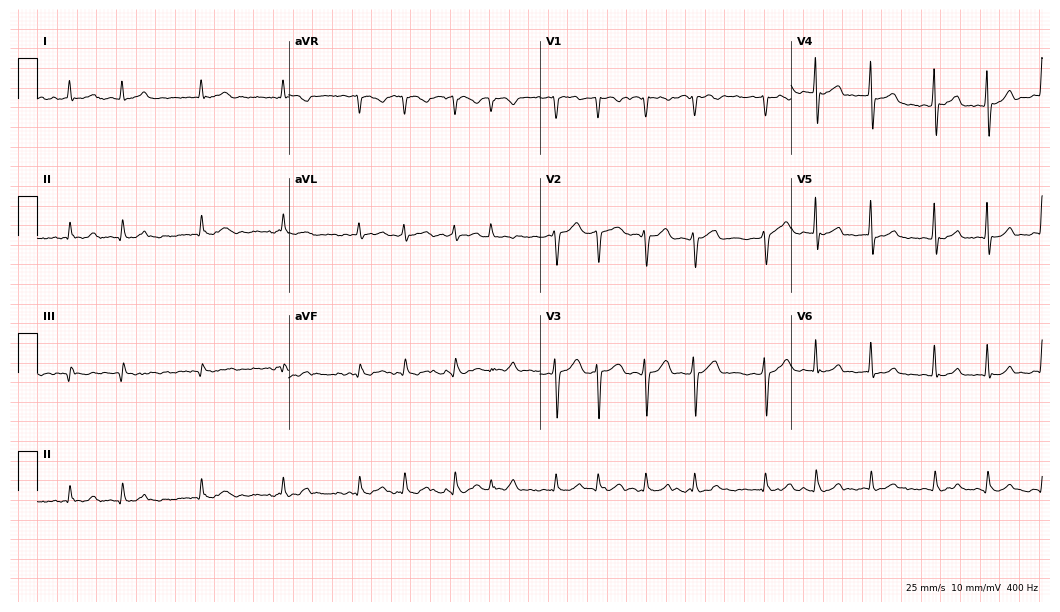
12-lead ECG (10.2-second recording at 400 Hz) from a 72-year-old woman. Findings include atrial fibrillation.